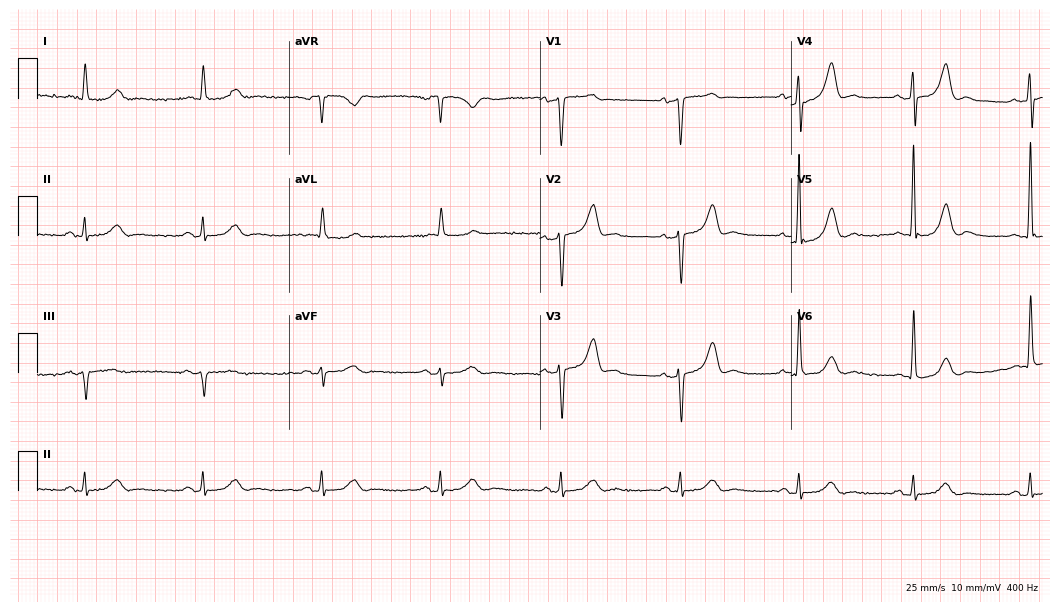
ECG (10.2-second recording at 400 Hz) — a 71-year-old male patient. Screened for six findings — first-degree AV block, right bundle branch block, left bundle branch block, sinus bradycardia, atrial fibrillation, sinus tachycardia — none is recorded. Findings outside these six are not listed.